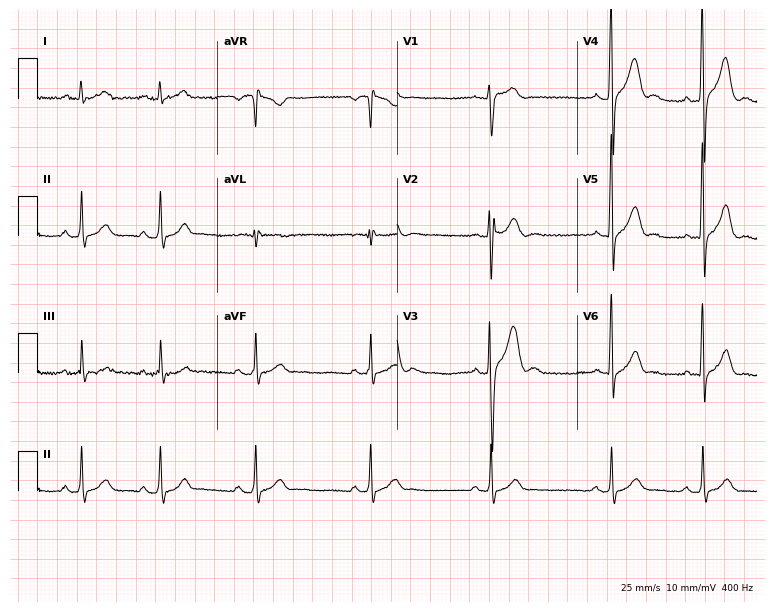
12-lead ECG from a man, 19 years old. Recorded interpretation: within normal limits.